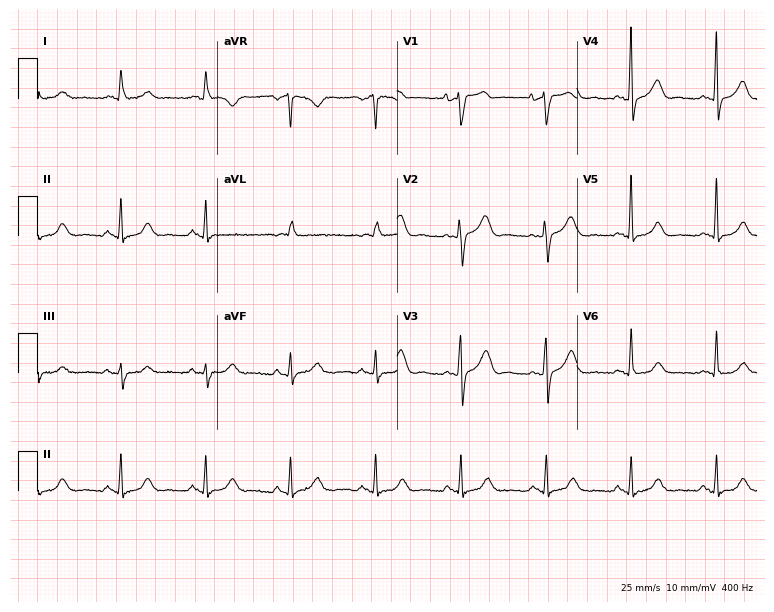
Standard 12-lead ECG recorded from a 72-year-old woman. Read as a normal ECG.